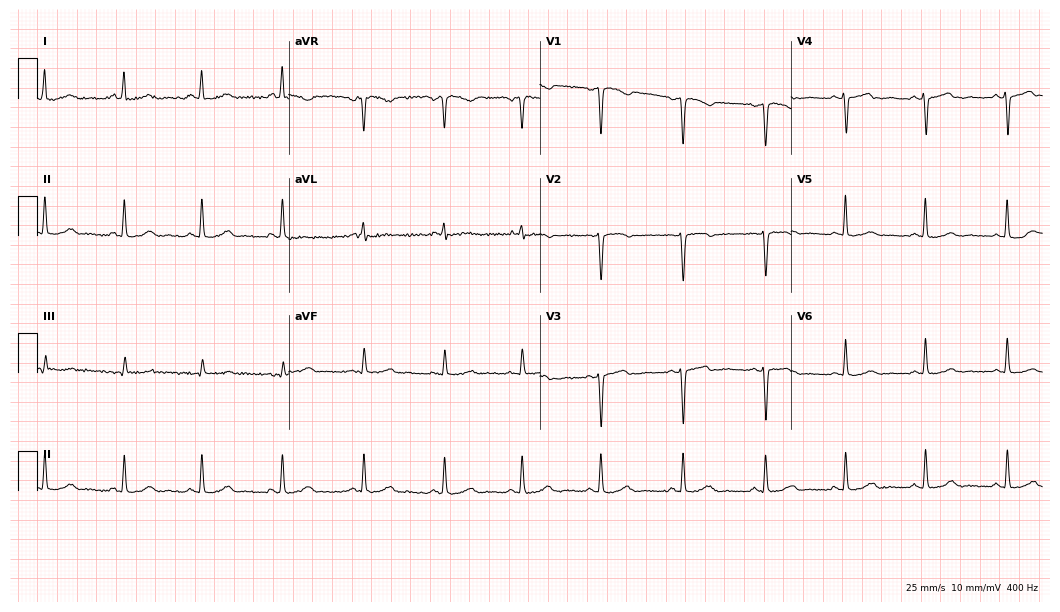
12-lead ECG from a woman, 45 years old (10.2-second recording at 400 Hz). No first-degree AV block, right bundle branch block (RBBB), left bundle branch block (LBBB), sinus bradycardia, atrial fibrillation (AF) or sinus tachycardia recorded for this tracing.